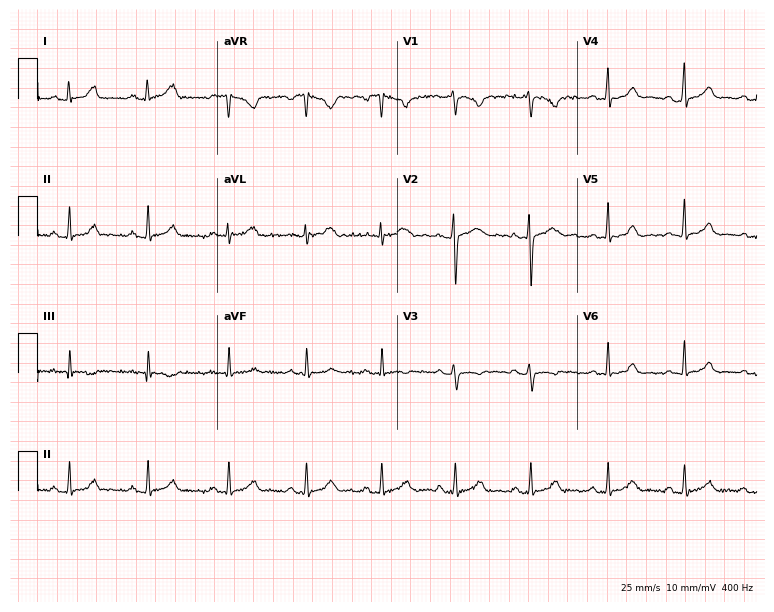
Standard 12-lead ECG recorded from a female patient, 27 years old. Read as a normal ECG.